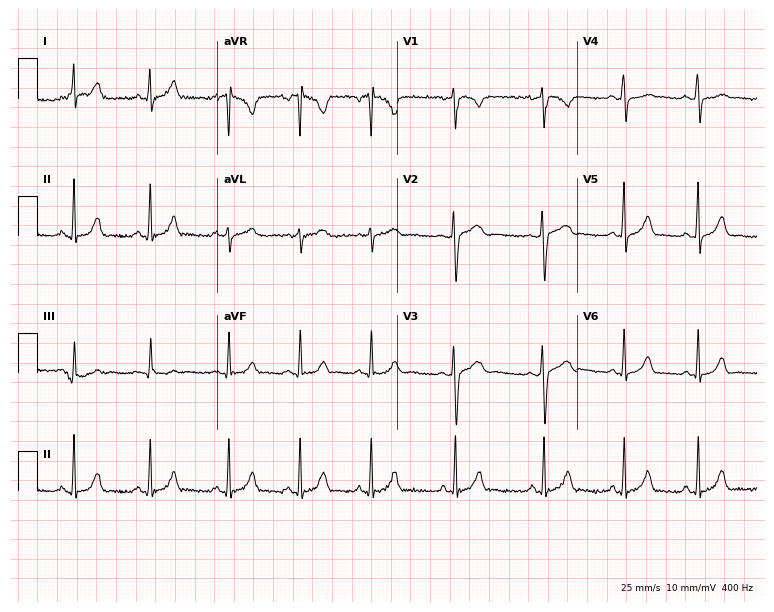
Standard 12-lead ECG recorded from a 31-year-old female. Read as a normal ECG.